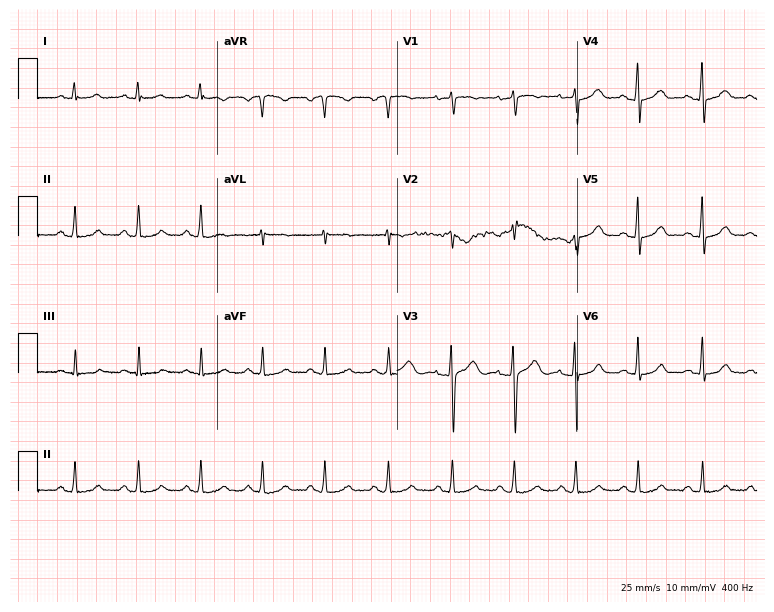
ECG — a 45-year-old female patient. Labelled as a normal ECG.